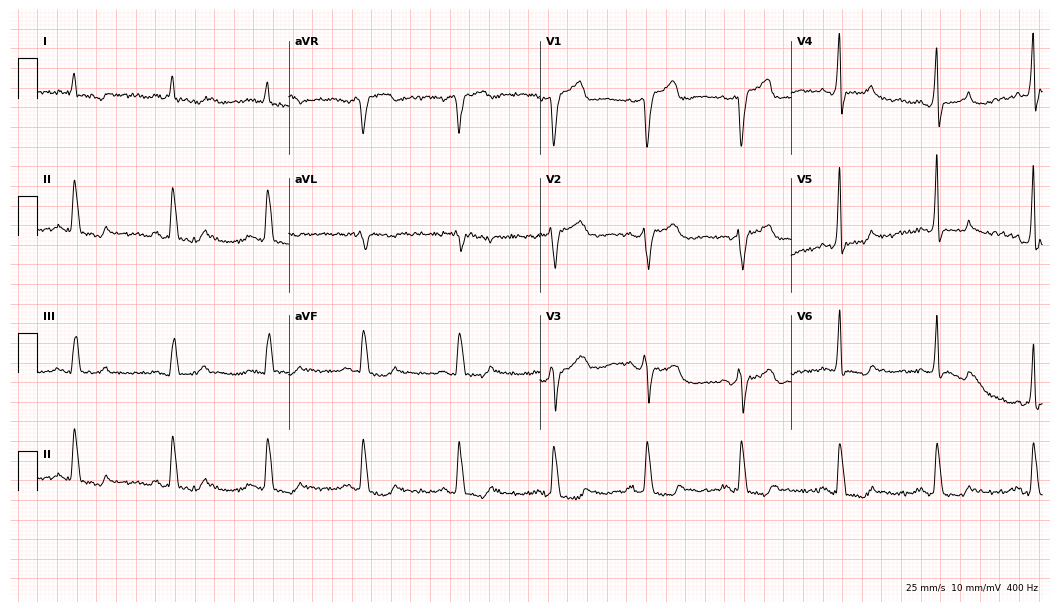
Resting 12-lead electrocardiogram (10.2-second recording at 400 Hz). Patient: a man, 72 years old. The tracing shows right bundle branch block.